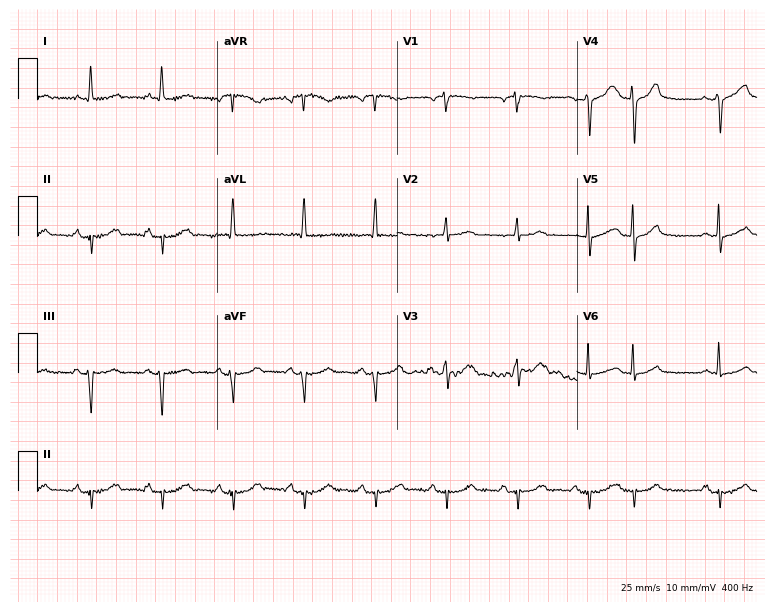
Electrocardiogram (7.3-second recording at 400 Hz), a 72-year-old woman. Of the six screened findings (first-degree AV block, right bundle branch block (RBBB), left bundle branch block (LBBB), sinus bradycardia, atrial fibrillation (AF), sinus tachycardia), none is recorded.